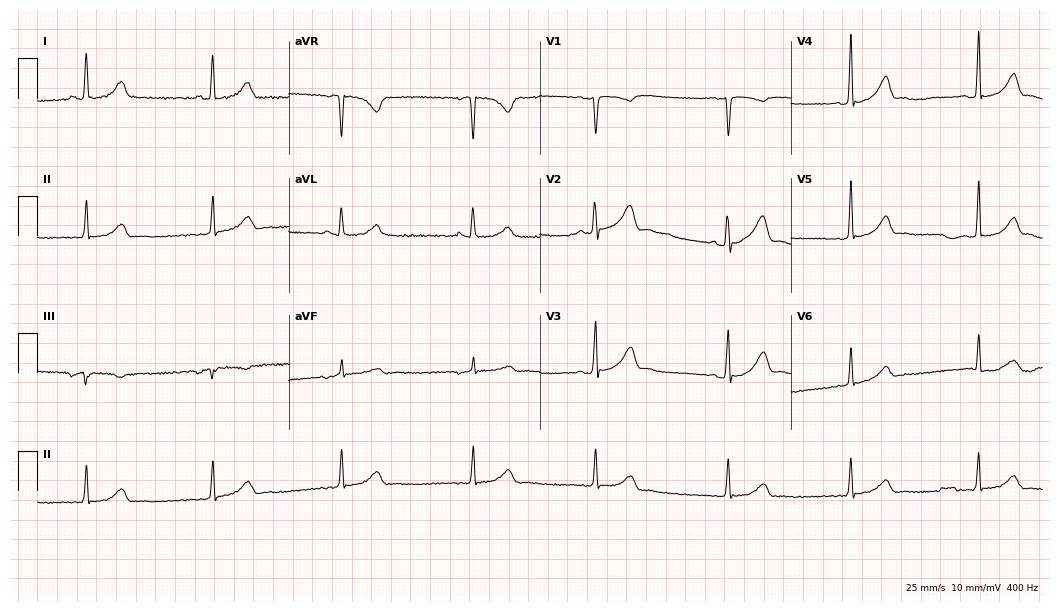
Electrocardiogram, a female patient, 34 years old. Interpretation includes sinus bradycardia (a sinus rate of 50 beats per minute or less).